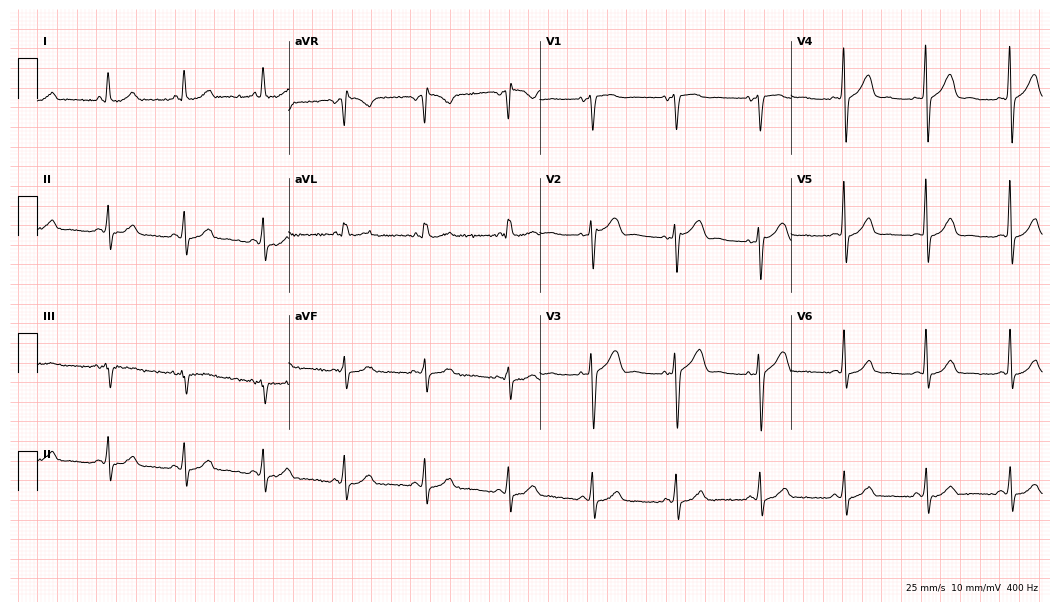
12-lead ECG from a 52-year-old female patient (10.2-second recording at 400 Hz). Recorded interpretation: within normal limits.